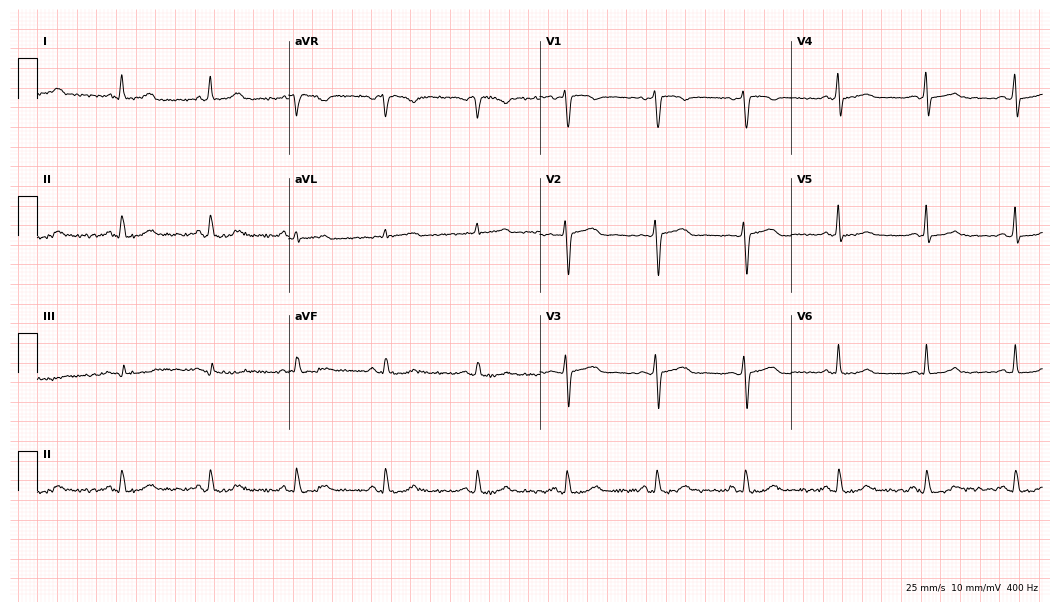
ECG (10.2-second recording at 400 Hz) — a 42-year-old woman. Labelled as a normal ECG.